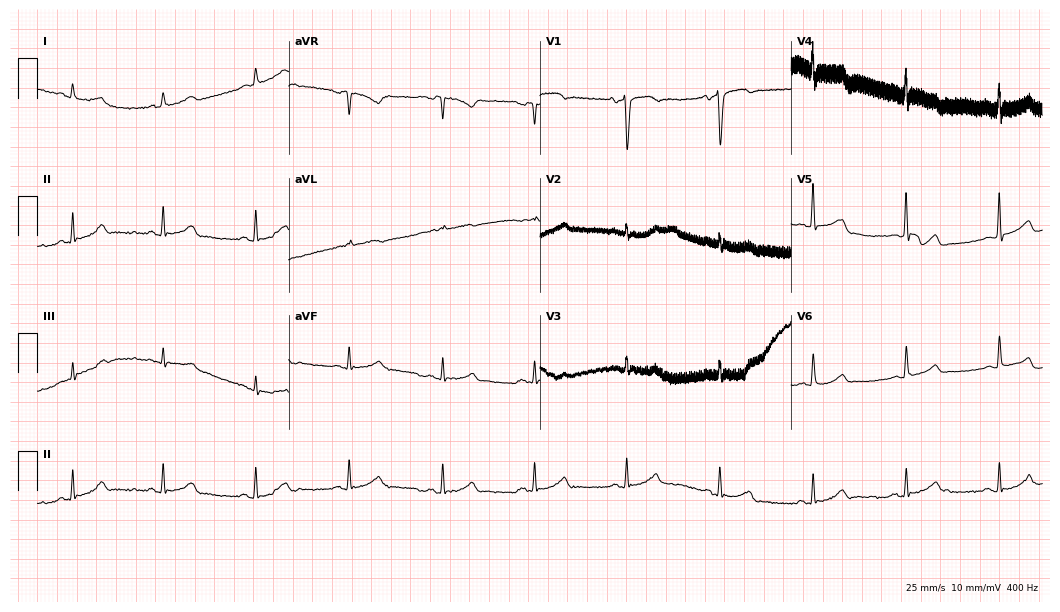
12-lead ECG (10.2-second recording at 400 Hz) from a male, 45 years old. Screened for six findings — first-degree AV block, right bundle branch block (RBBB), left bundle branch block (LBBB), sinus bradycardia, atrial fibrillation (AF), sinus tachycardia — none is recorded.